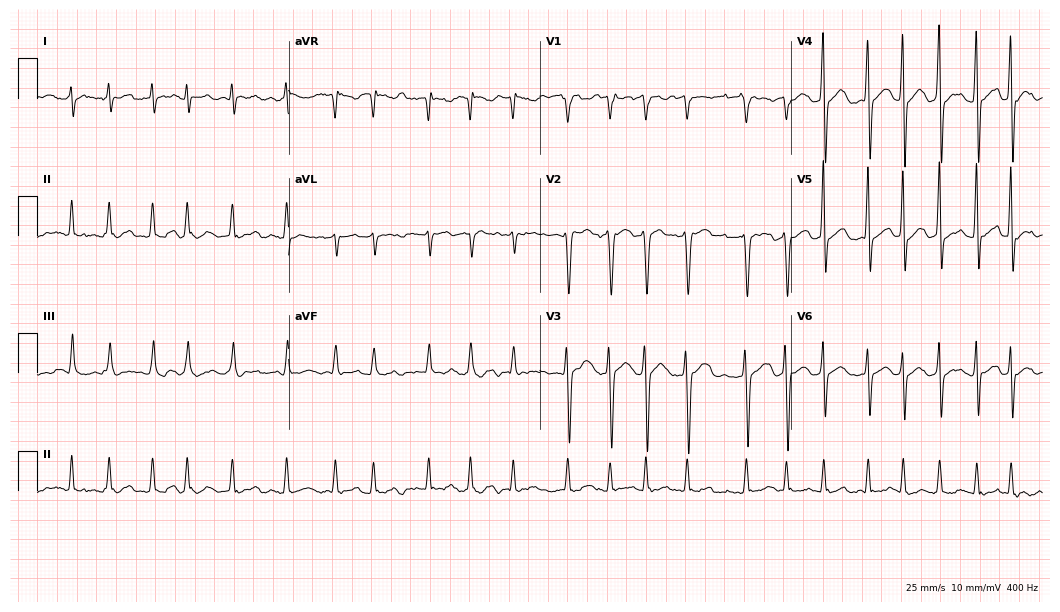
Standard 12-lead ECG recorded from a 54-year-old male patient. The tracing shows atrial fibrillation.